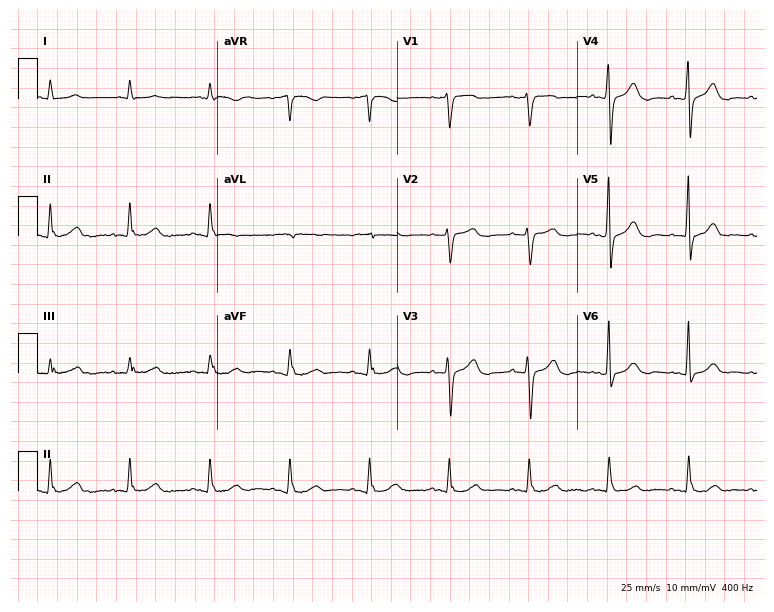
Standard 12-lead ECG recorded from an 84-year-old male. Read as a normal ECG.